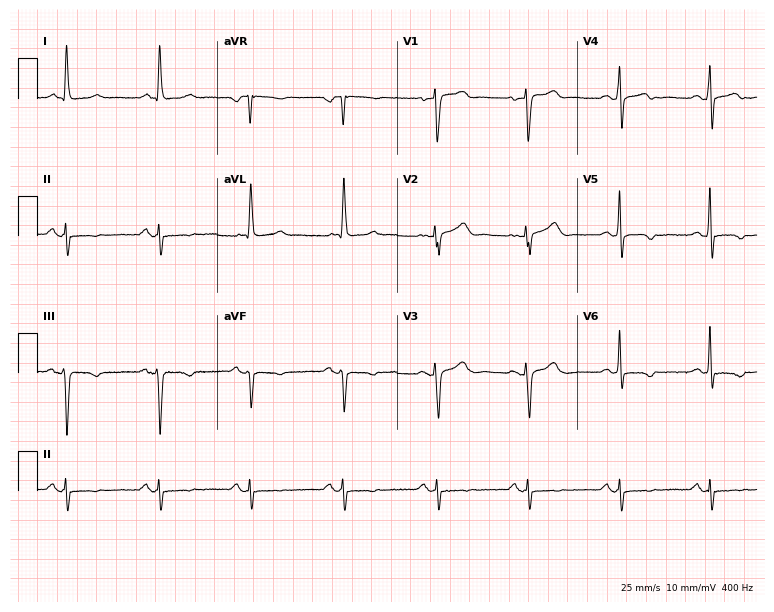
ECG — a 72-year-old woman. Screened for six findings — first-degree AV block, right bundle branch block (RBBB), left bundle branch block (LBBB), sinus bradycardia, atrial fibrillation (AF), sinus tachycardia — none is recorded.